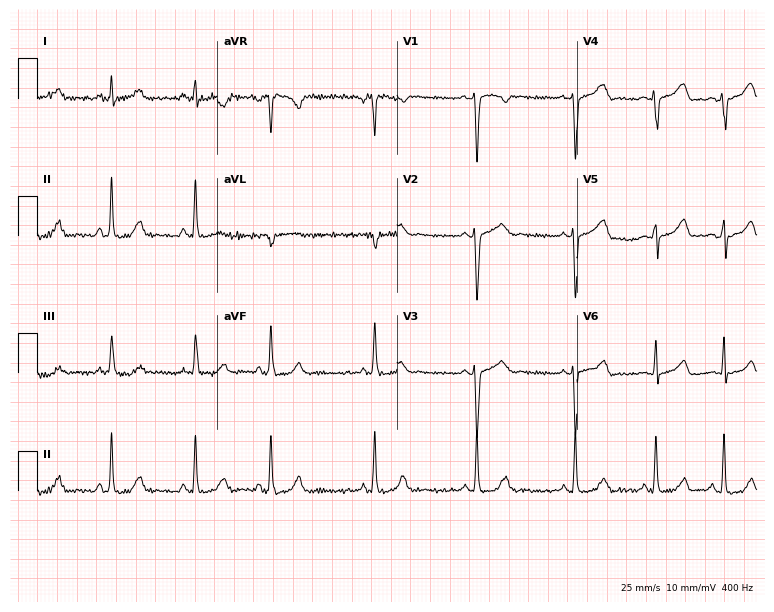
ECG (7.3-second recording at 400 Hz) — a female patient, 30 years old. Screened for six findings — first-degree AV block, right bundle branch block (RBBB), left bundle branch block (LBBB), sinus bradycardia, atrial fibrillation (AF), sinus tachycardia — none is recorded. Findings outside these six are not listed.